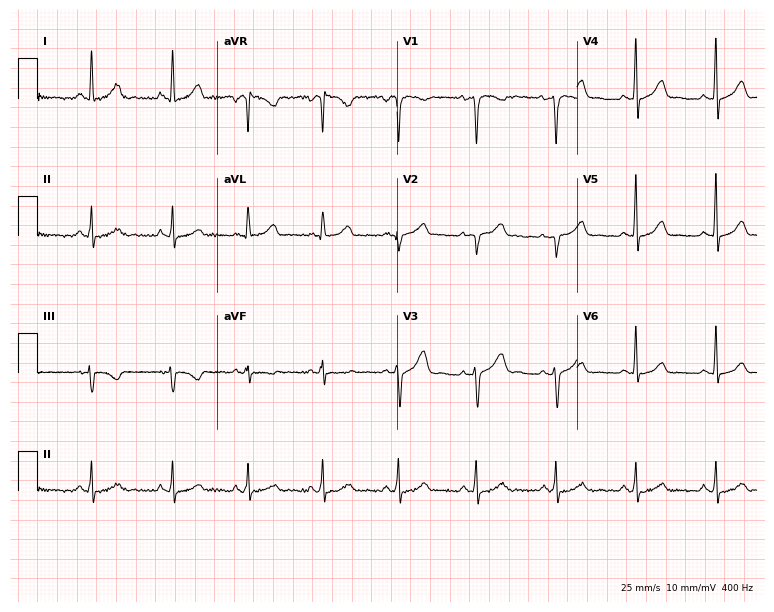
Electrocardiogram (7.3-second recording at 400 Hz), a female patient, 28 years old. Overall reading on record: normal ECG.